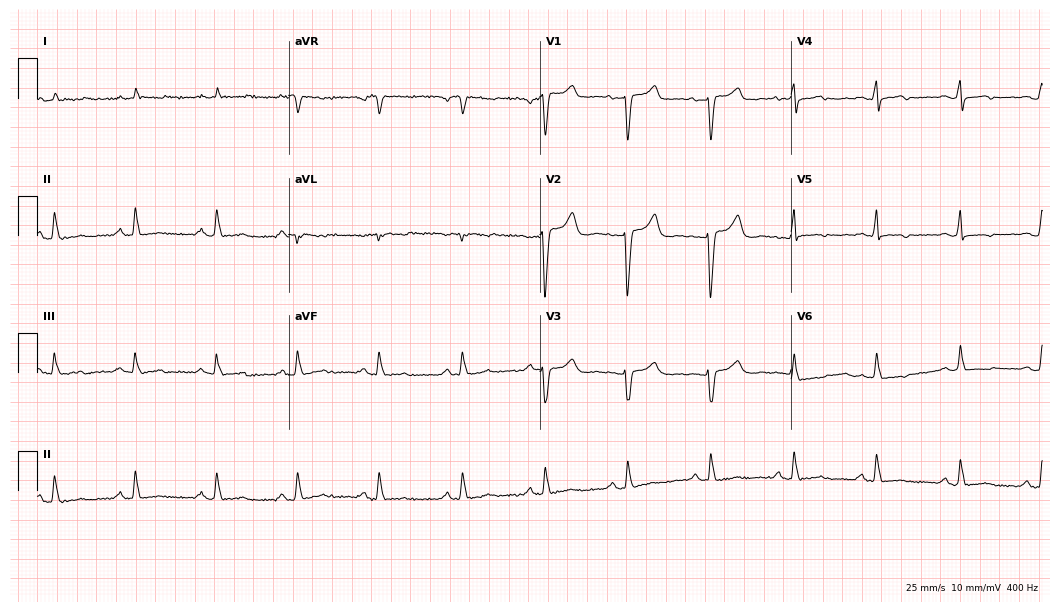
12-lead ECG from a 68-year-old female patient (10.2-second recording at 400 Hz). No first-degree AV block, right bundle branch block (RBBB), left bundle branch block (LBBB), sinus bradycardia, atrial fibrillation (AF) or sinus tachycardia recorded for this tracing. Other findings, if any, are not listed.